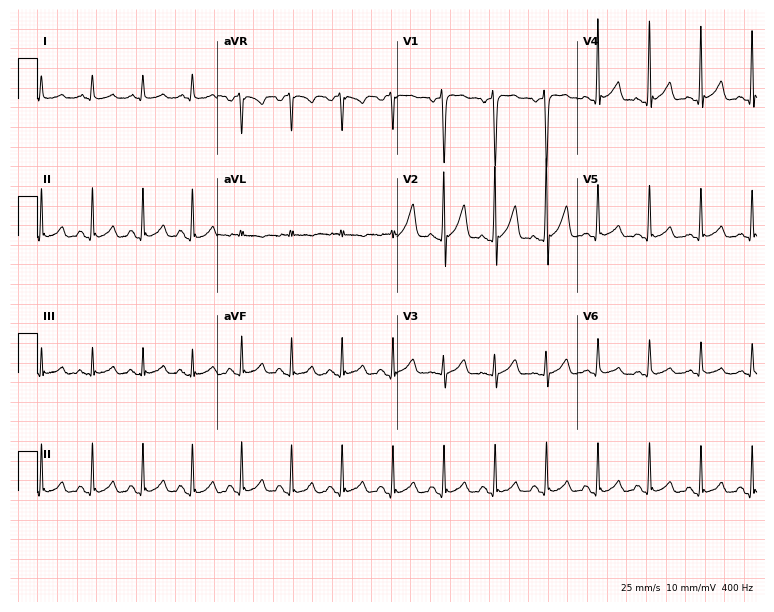
Electrocardiogram (7.3-second recording at 400 Hz), a male patient, 40 years old. Interpretation includes sinus tachycardia (a sinus rate of 100 beats per minute or more).